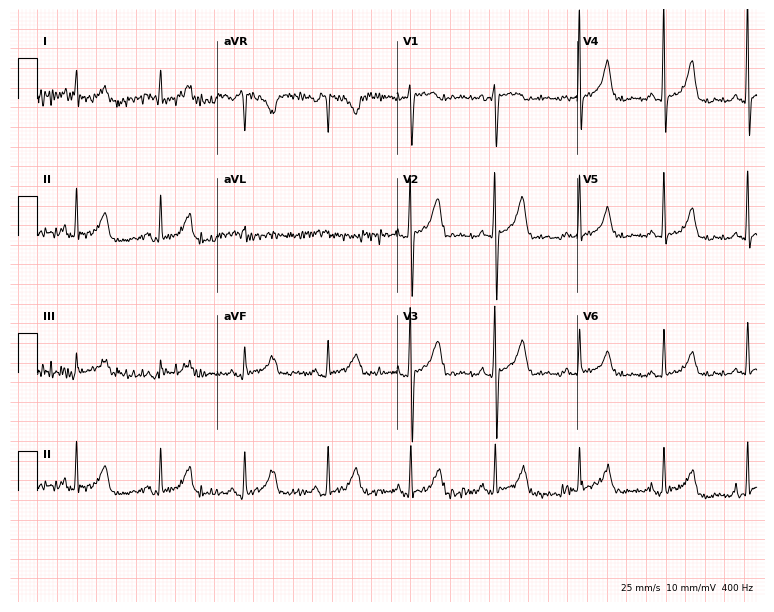
12-lead ECG from a 74-year-old woman (7.3-second recording at 400 Hz). No first-degree AV block, right bundle branch block, left bundle branch block, sinus bradycardia, atrial fibrillation or sinus tachycardia recorded for this tracing. Only these six findings were labelled.